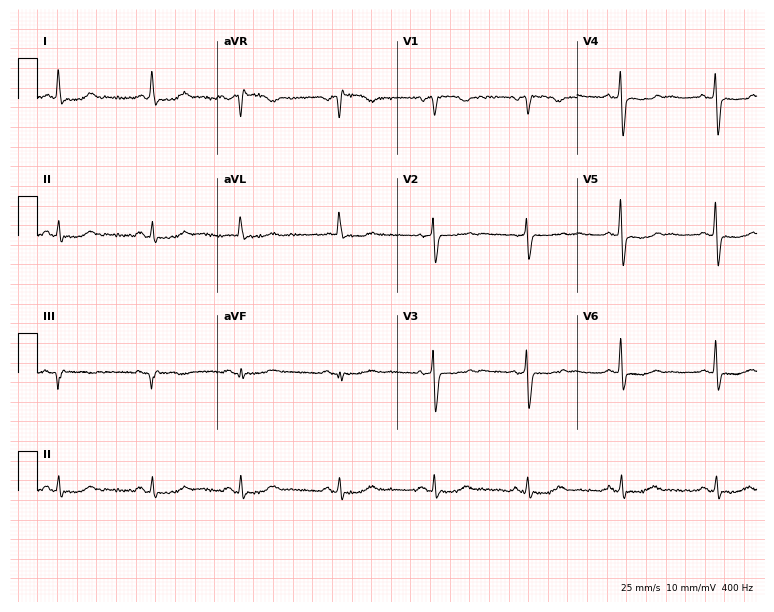
ECG — a female, 66 years old. Screened for six findings — first-degree AV block, right bundle branch block, left bundle branch block, sinus bradycardia, atrial fibrillation, sinus tachycardia — none is recorded.